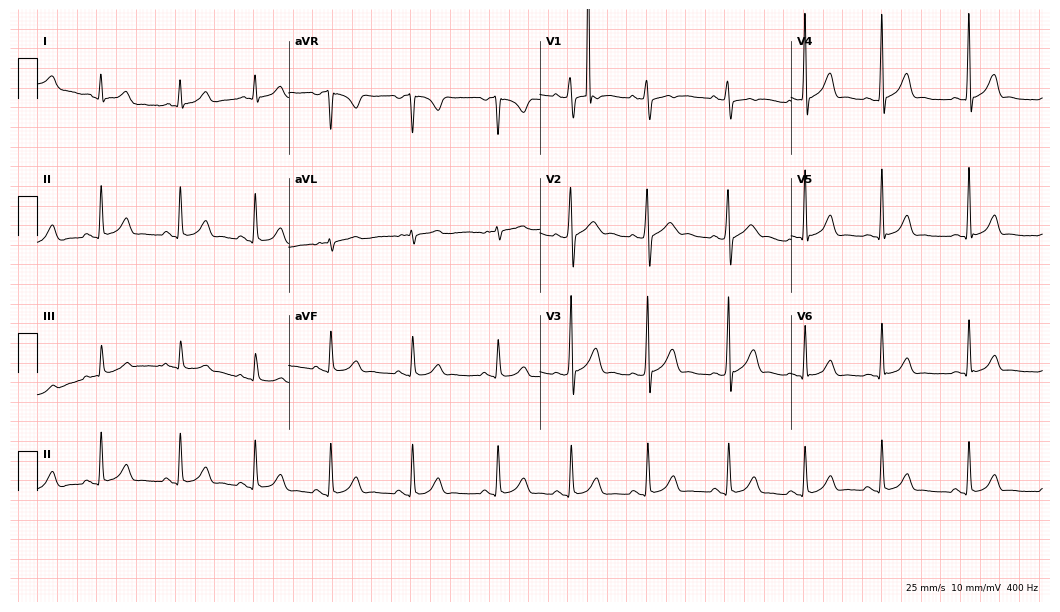
Electrocardiogram (10.2-second recording at 400 Hz), a male, 27 years old. Overall reading on record: normal ECG.